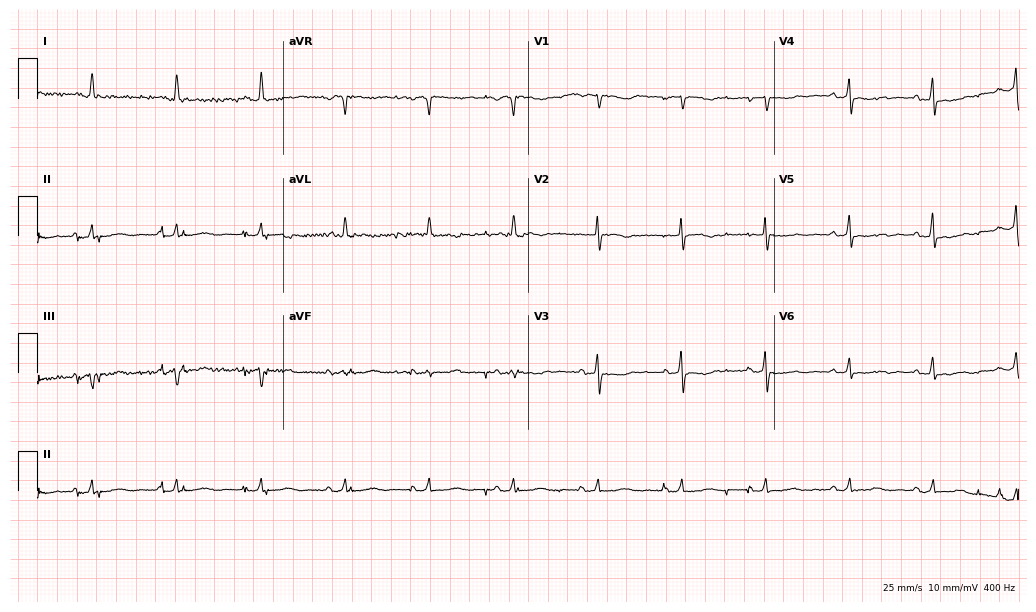
Standard 12-lead ECG recorded from a female patient, 72 years old (10-second recording at 400 Hz). None of these six findings is recorded: first-degree AV block, right bundle branch block, left bundle branch block, sinus bradycardia, atrial fibrillation, sinus tachycardia. Only these six findings were labelled.